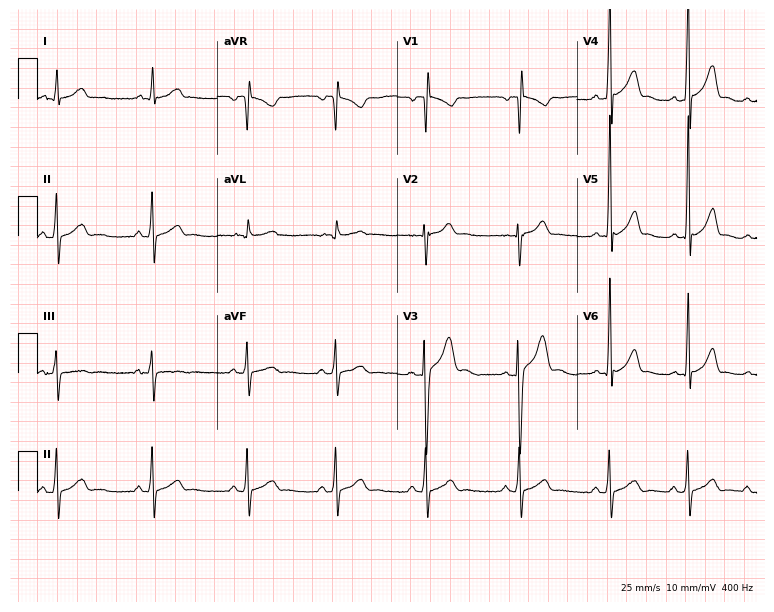
Electrocardiogram, an 18-year-old male patient. Overall reading on record: normal ECG.